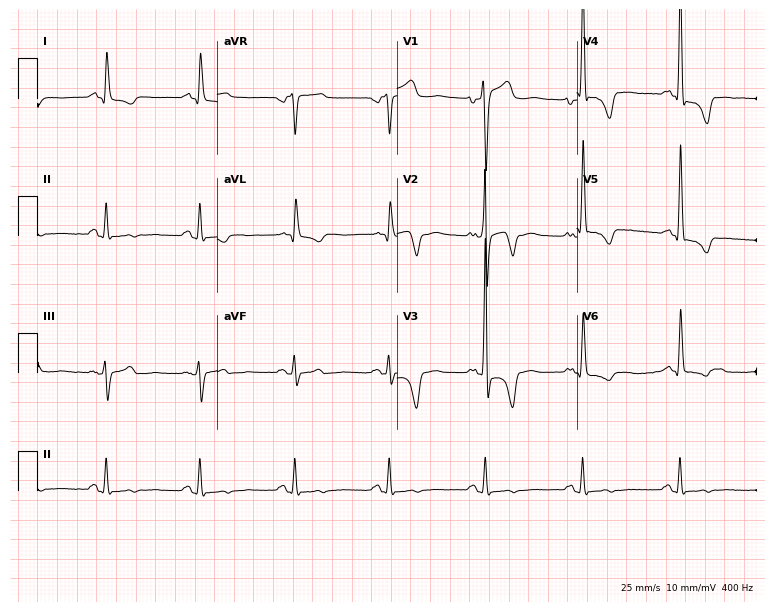
Resting 12-lead electrocardiogram (7.3-second recording at 400 Hz). Patient: a 70-year-old male. None of these six findings is recorded: first-degree AV block, right bundle branch block (RBBB), left bundle branch block (LBBB), sinus bradycardia, atrial fibrillation (AF), sinus tachycardia. Other findings, if any, are not listed.